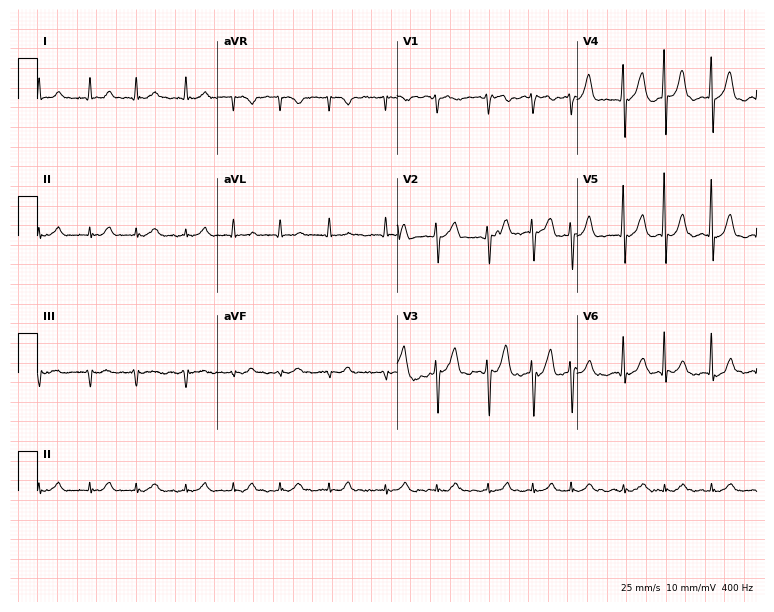
12-lead ECG from a male, 62 years old. No first-degree AV block, right bundle branch block (RBBB), left bundle branch block (LBBB), sinus bradycardia, atrial fibrillation (AF) or sinus tachycardia recorded for this tracing.